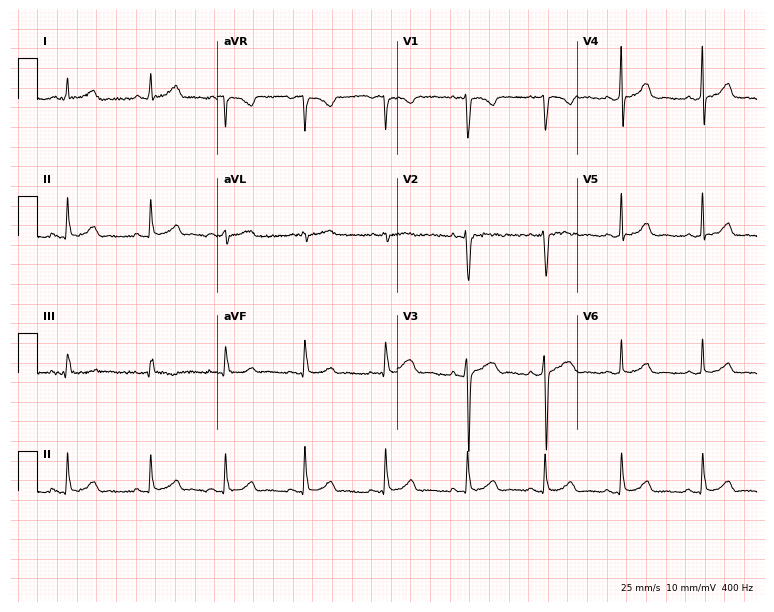
Standard 12-lead ECG recorded from a female, 28 years old. Read as a normal ECG.